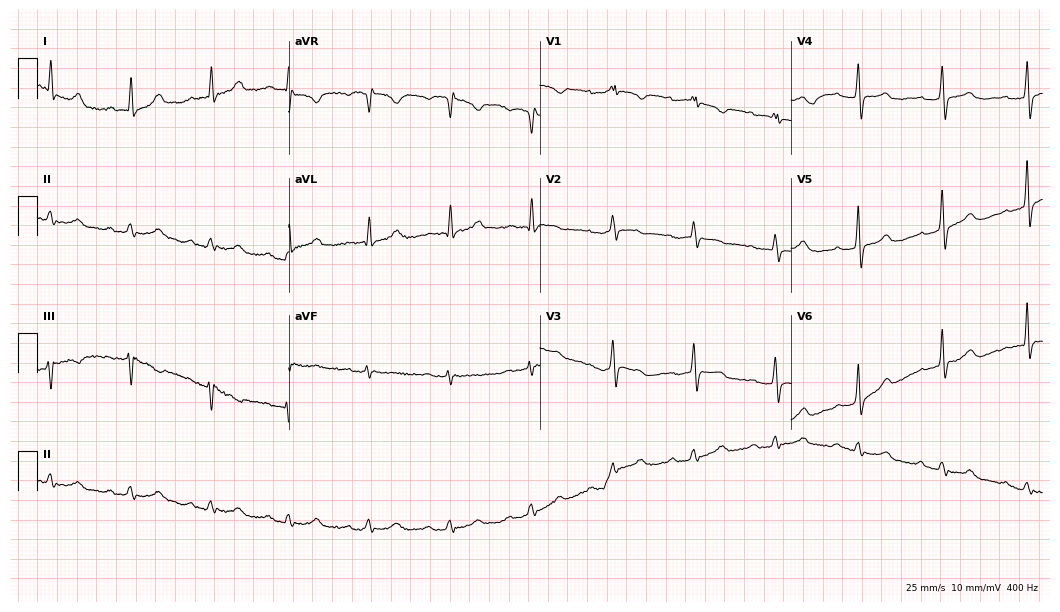
Resting 12-lead electrocardiogram. Patient: a 57-year-old woman. None of these six findings is recorded: first-degree AV block, right bundle branch block, left bundle branch block, sinus bradycardia, atrial fibrillation, sinus tachycardia.